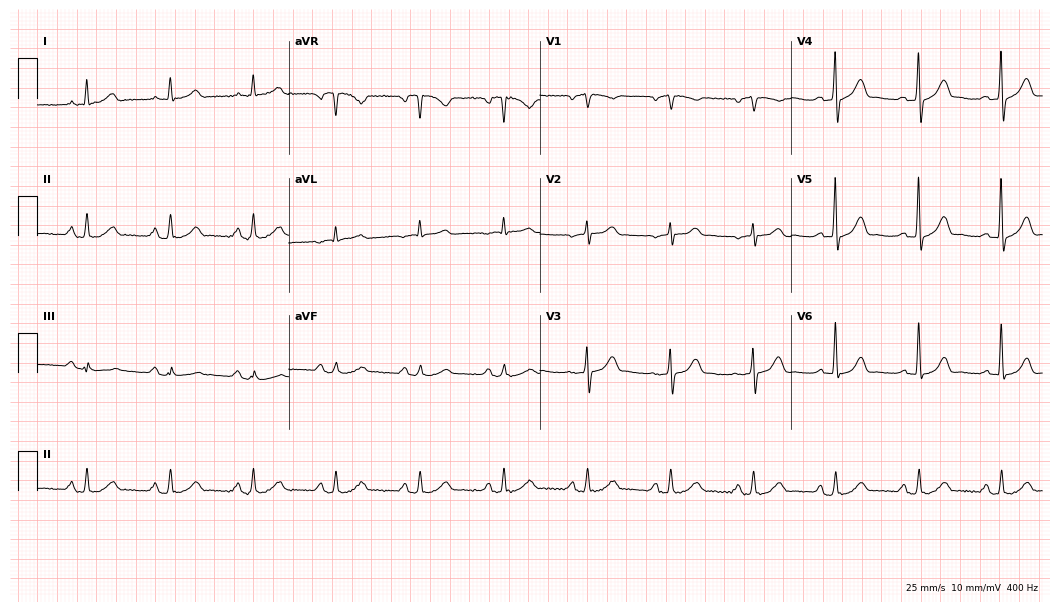
Resting 12-lead electrocardiogram. Patient: a male, 71 years old. Read as a normal ECG.